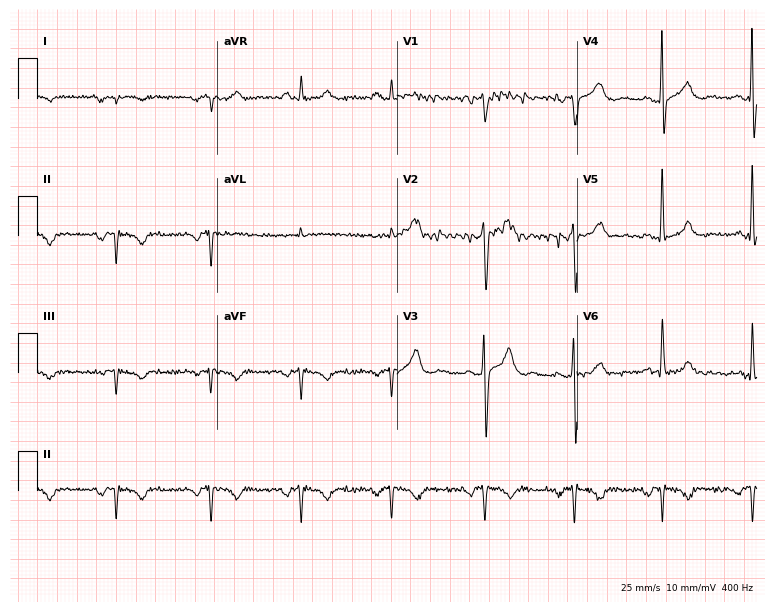
Standard 12-lead ECG recorded from a 78-year-old male patient (7.3-second recording at 400 Hz). None of these six findings is recorded: first-degree AV block, right bundle branch block (RBBB), left bundle branch block (LBBB), sinus bradycardia, atrial fibrillation (AF), sinus tachycardia. Other findings, if any, are not listed.